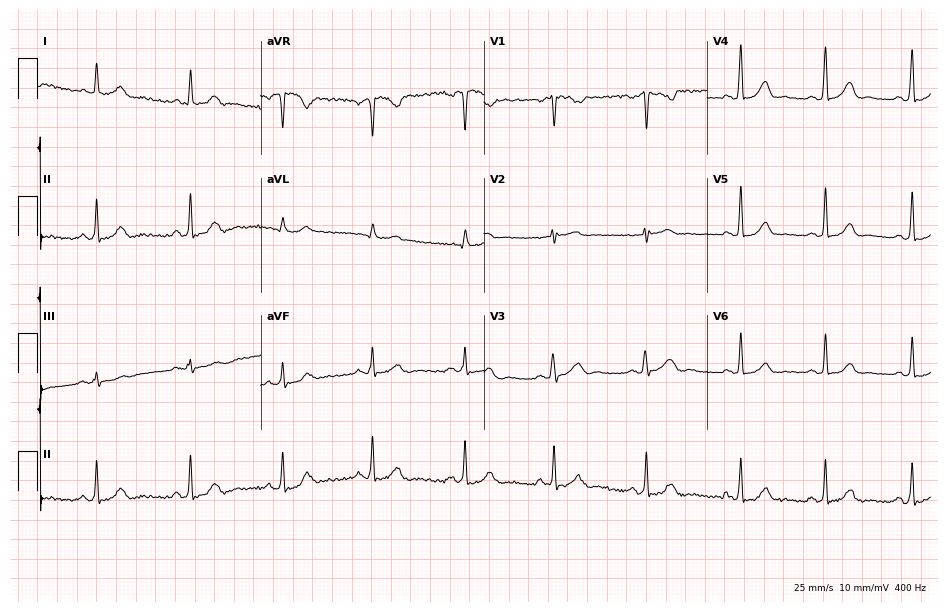
Electrocardiogram (9.1-second recording at 400 Hz), a woman, 47 years old. Of the six screened findings (first-degree AV block, right bundle branch block (RBBB), left bundle branch block (LBBB), sinus bradycardia, atrial fibrillation (AF), sinus tachycardia), none is recorded. Findings outside these six are not listed.